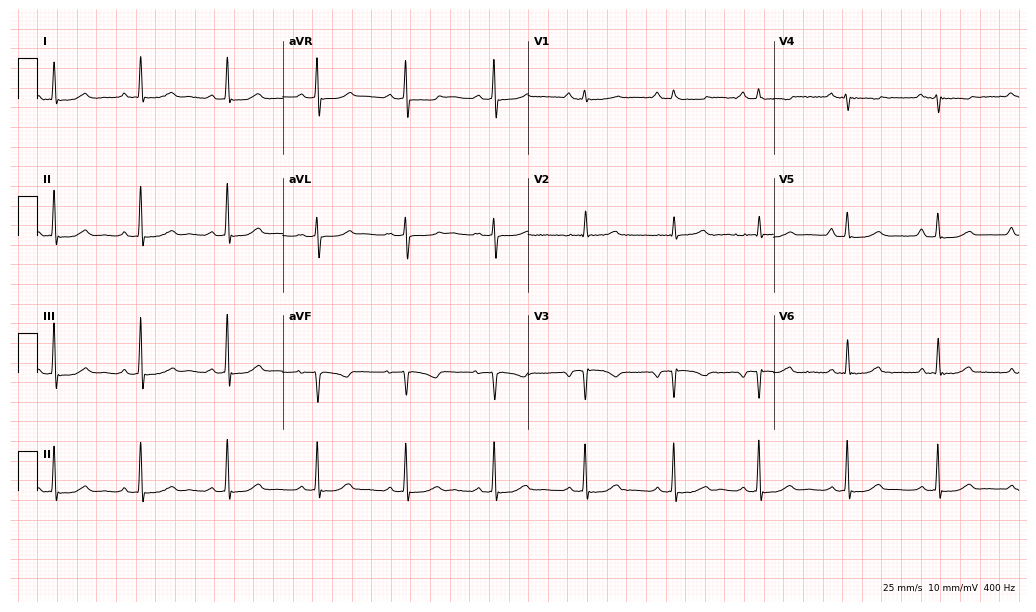
ECG (10-second recording at 400 Hz) — a 54-year-old woman. Screened for six findings — first-degree AV block, right bundle branch block (RBBB), left bundle branch block (LBBB), sinus bradycardia, atrial fibrillation (AF), sinus tachycardia — none is recorded. Findings outside these six are not listed.